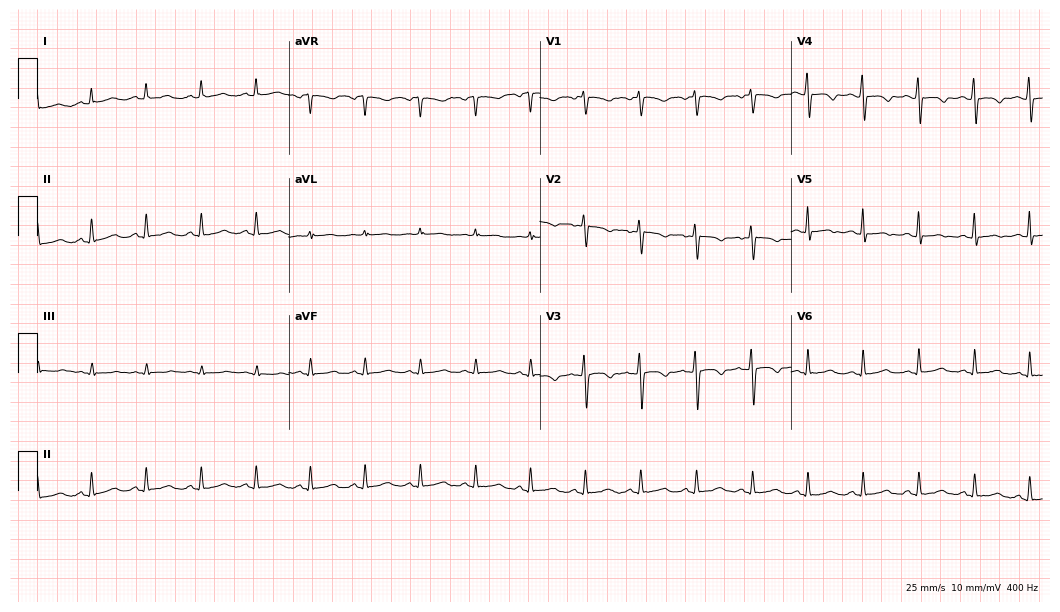
Electrocardiogram, a 22-year-old woman. Interpretation includes sinus tachycardia (a sinus rate of 100 beats per minute or more).